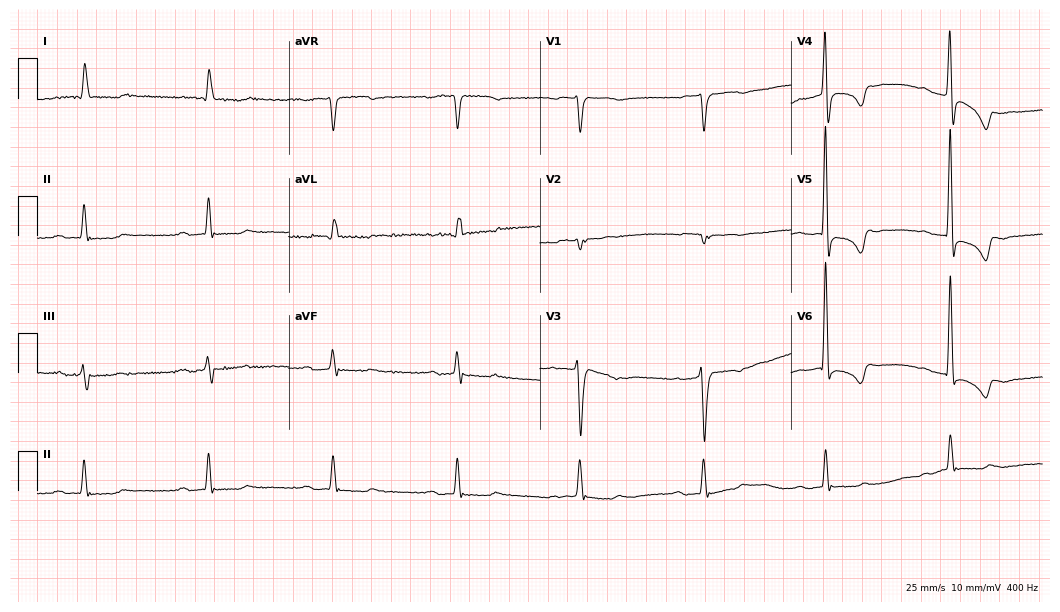
Electrocardiogram, a 78-year-old female patient. Interpretation includes first-degree AV block, sinus bradycardia (a sinus rate of 50 beats per minute or less).